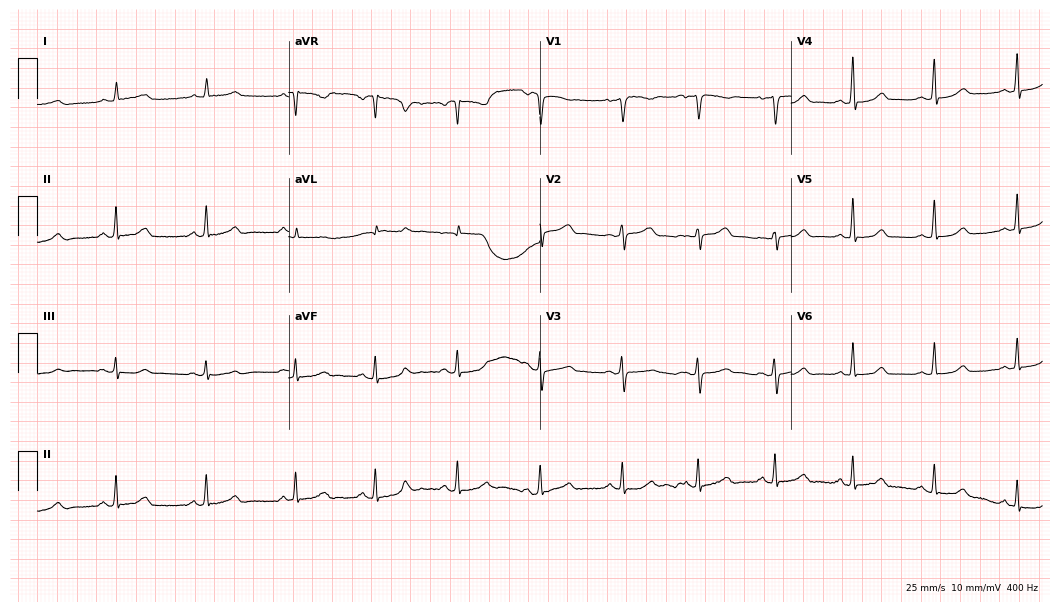
Electrocardiogram, a 44-year-old female. Of the six screened findings (first-degree AV block, right bundle branch block (RBBB), left bundle branch block (LBBB), sinus bradycardia, atrial fibrillation (AF), sinus tachycardia), none is recorded. Findings outside these six are not listed.